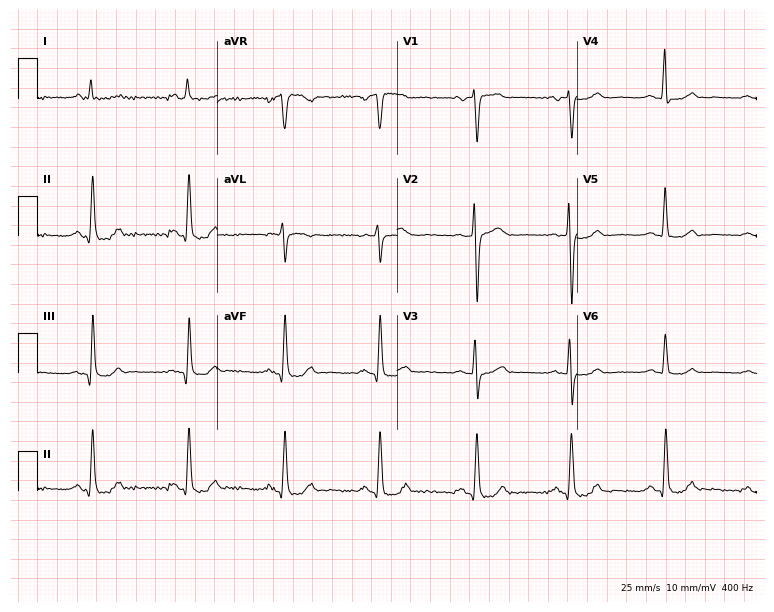
Resting 12-lead electrocardiogram. Patient: a male, 67 years old. None of these six findings is recorded: first-degree AV block, right bundle branch block, left bundle branch block, sinus bradycardia, atrial fibrillation, sinus tachycardia.